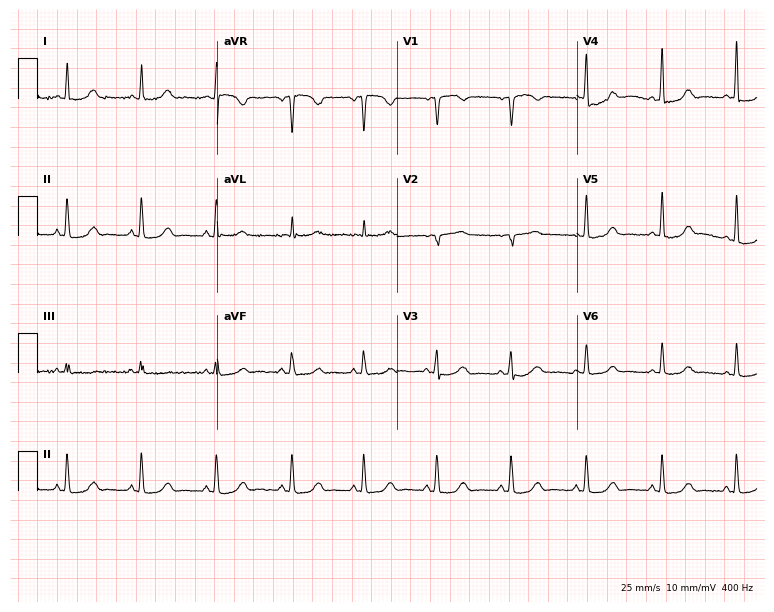
12-lead ECG from a female patient, 53 years old. Screened for six findings — first-degree AV block, right bundle branch block (RBBB), left bundle branch block (LBBB), sinus bradycardia, atrial fibrillation (AF), sinus tachycardia — none is recorded.